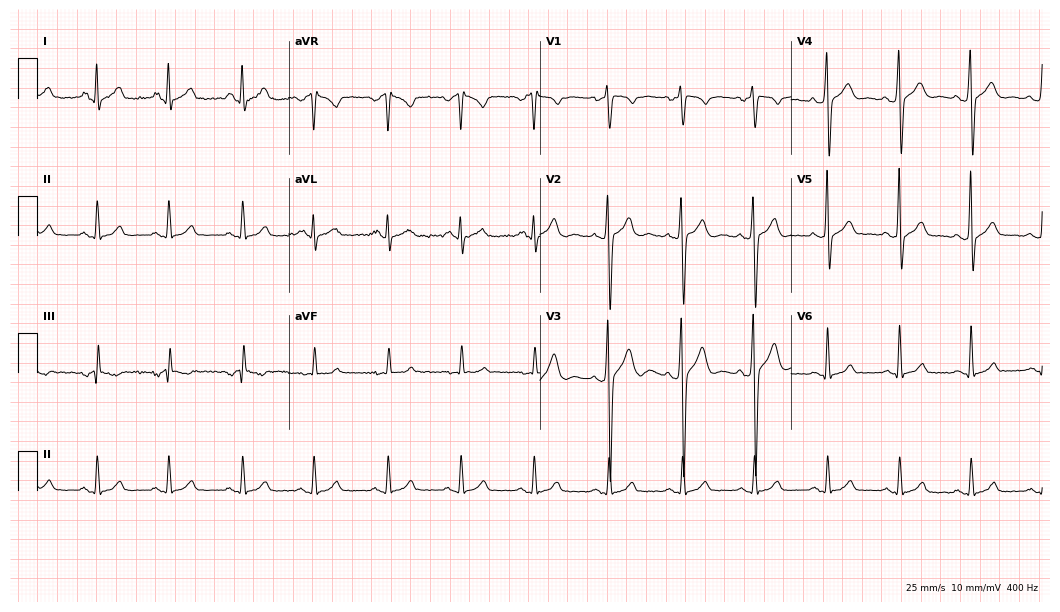
Standard 12-lead ECG recorded from a 26-year-old male patient. Read as a normal ECG.